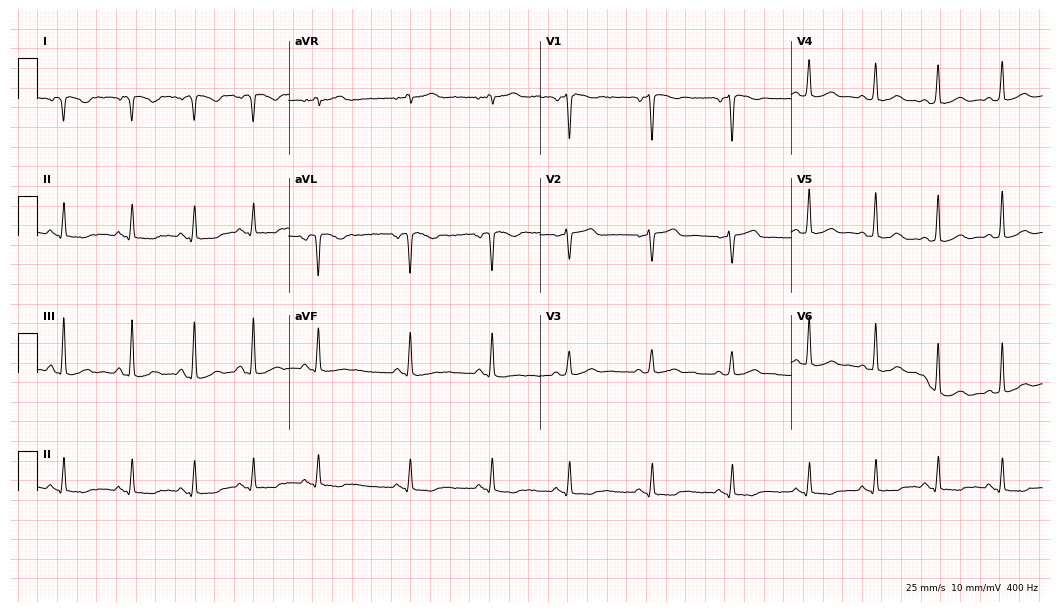
12-lead ECG (10.2-second recording at 400 Hz) from a female, 31 years old. Screened for six findings — first-degree AV block, right bundle branch block, left bundle branch block, sinus bradycardia, atrial fibrillation, sinus tachycardia — none is recorded.